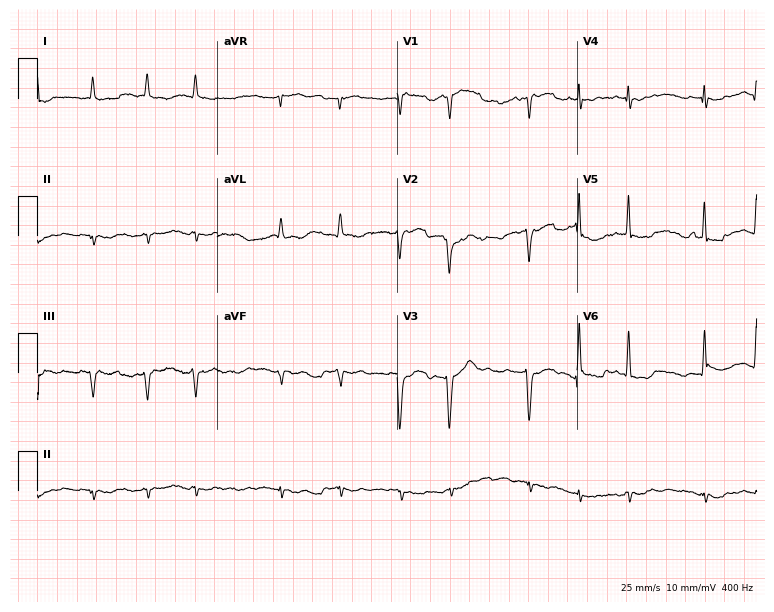
12-lead ECG (7.3-second recording at 400 Hz) from an 83-year-old male. Findings include atrial fibrillation.